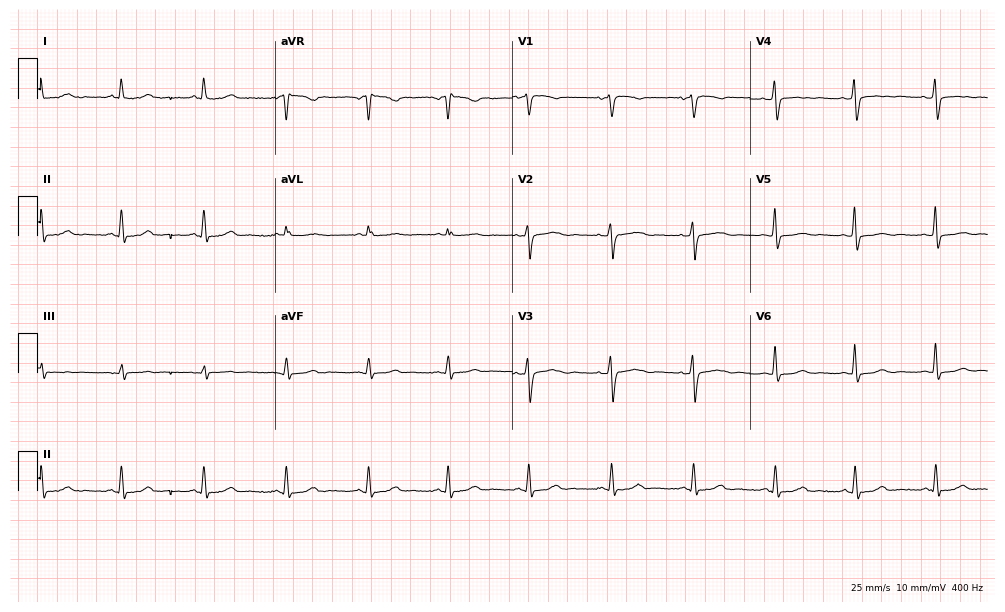
Resting 12-lead electrocardiogram. Patient: a 52-year-old female. None of these six findings is recorded: first-degree AV block, right bundle branch block, left bundle branch block, sinus bradycardia, atrial fibrillation, sinus tachycardia.